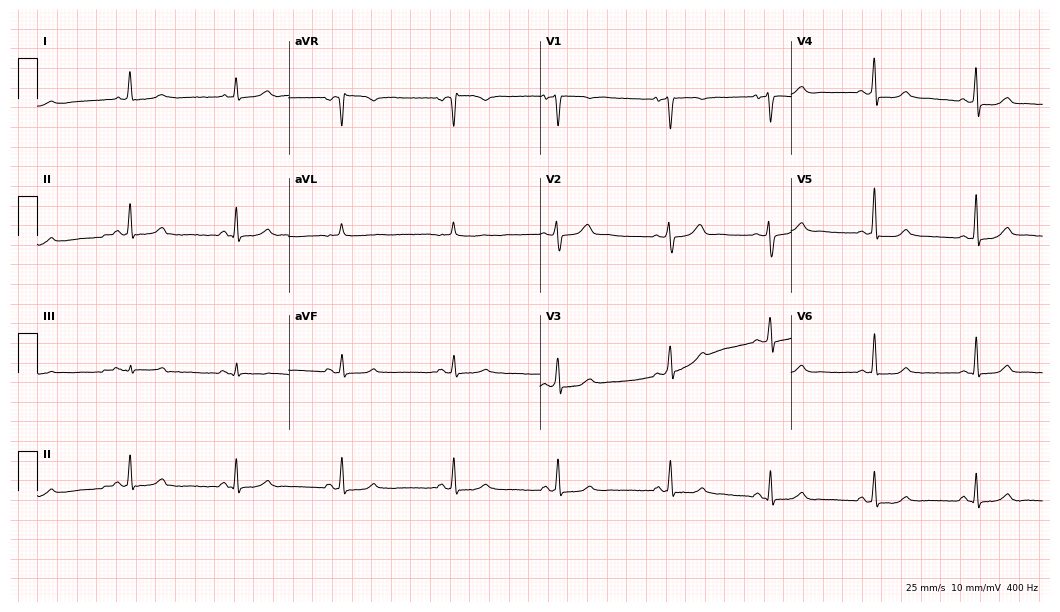
Standard 12-lead ECG recorded from a 49-year-old female (10.2-second recording at 400 Hz). Read as a normal ECG.